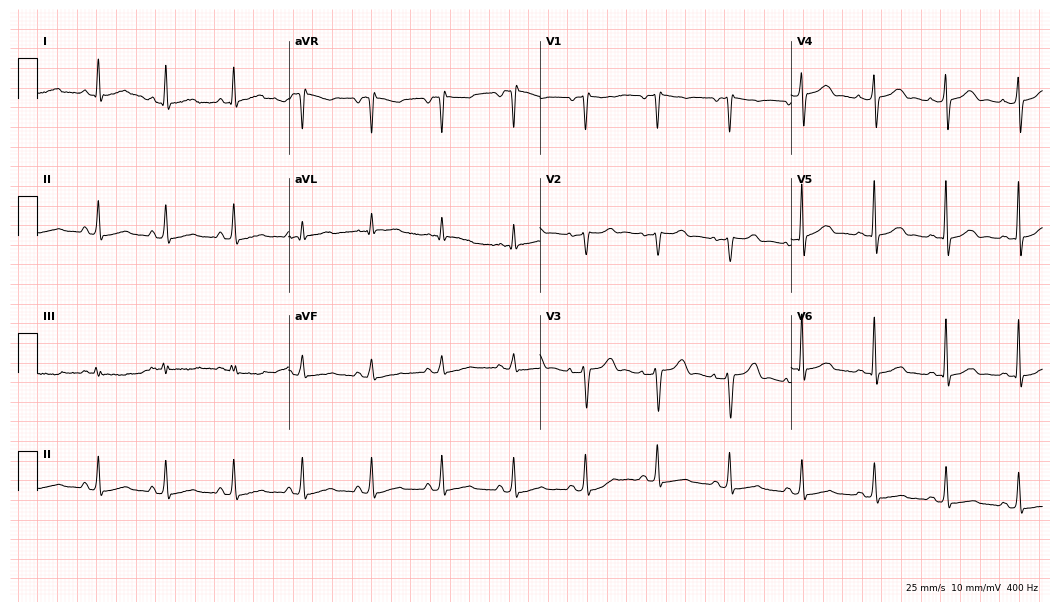
12-lead ECG from a woman, 49 years old. No first-degree AV block, right bundle branch block (RBBB), left bundle branch block (LBBB), sinus bradycardia, atrial fibrillation (AF) or sinus tachycardia recorded for this tracing.